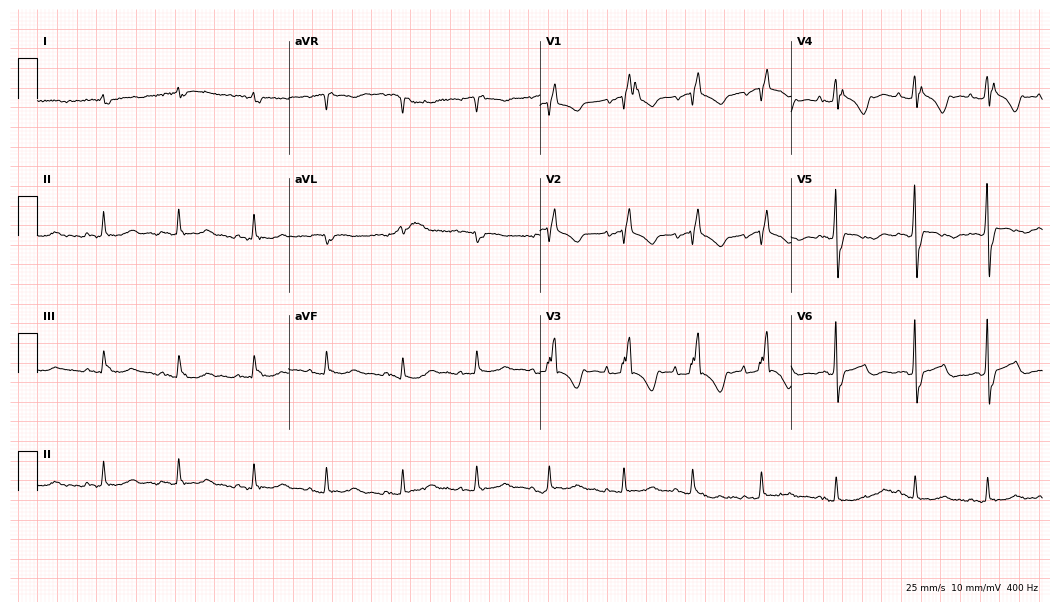
Resting 12-lead electrocardiogram (10.2-second recording at 400 Hz). Patient: a 79-year-old female. The tracing shows right bundle branch block.